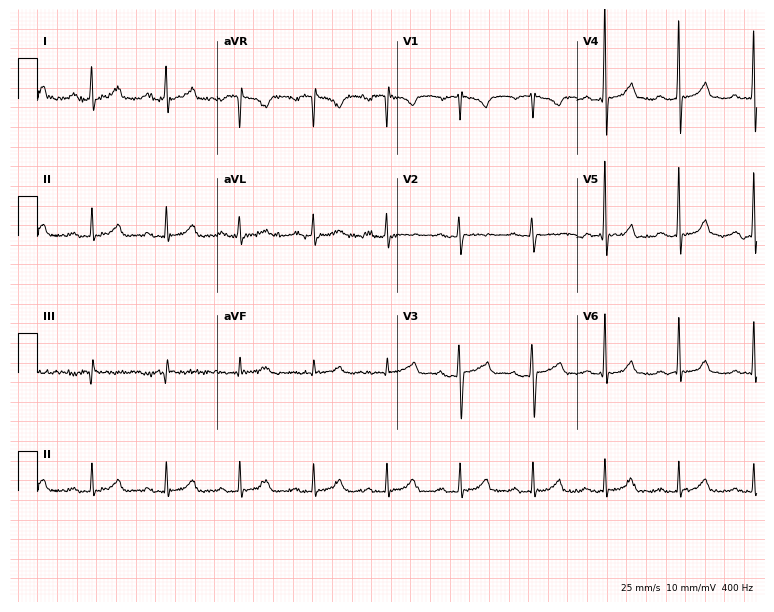
Resting 12-lead electrocardiogram (7.3-second recording at 400 Hz). Patient: a 40-year-old female. Read as a normal ECG.